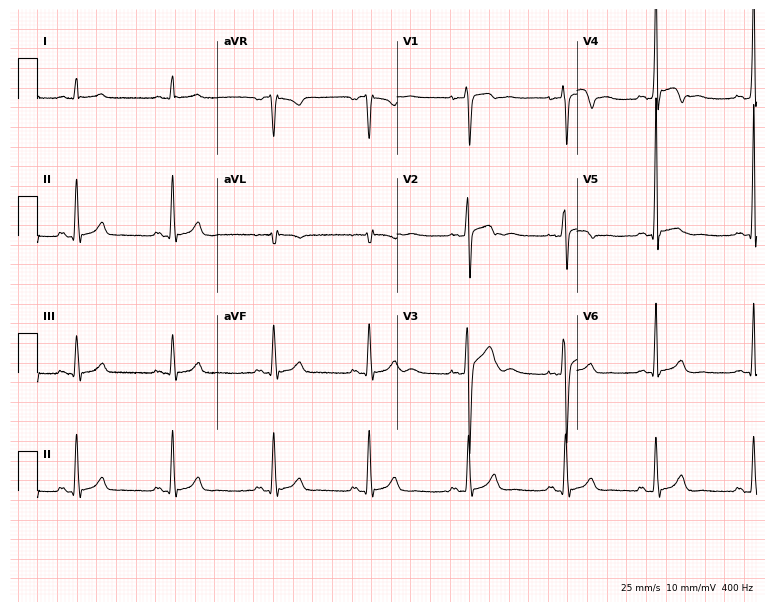
ECG — a 21-year-old man. Screened for six findings — first-degree AV block, right bundle branch block (RBBB), left bundle branch block (LBBB), sinus bradycardia, atrial fibrillation (AF), sinus tachycardia — none is recorded.